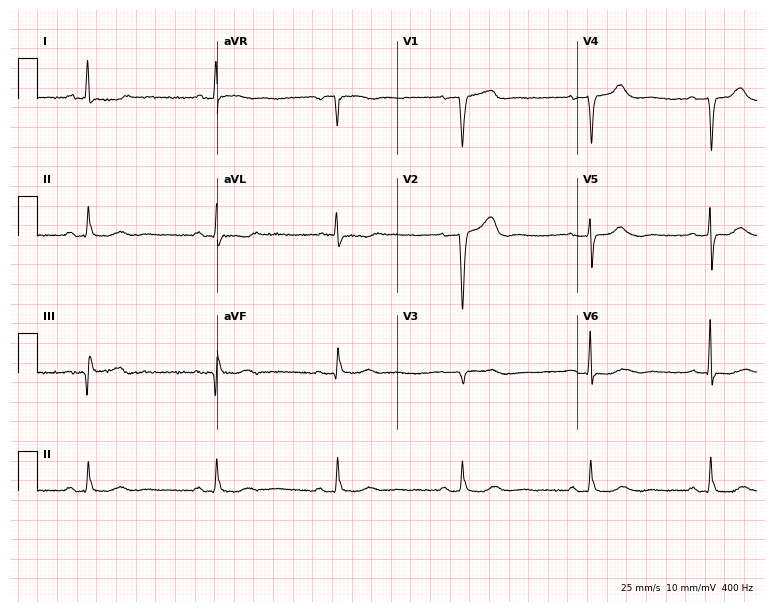
Resting 12-lead electrocardiogram. Patient: a 55-year-old female. None of these six findings is recorded: first-degree AV block, right bundle branch block (RBBB), left bundle branch block (LBBB), sinus bradycardia, atrial fibrillation (AF), sinus tachycardia.